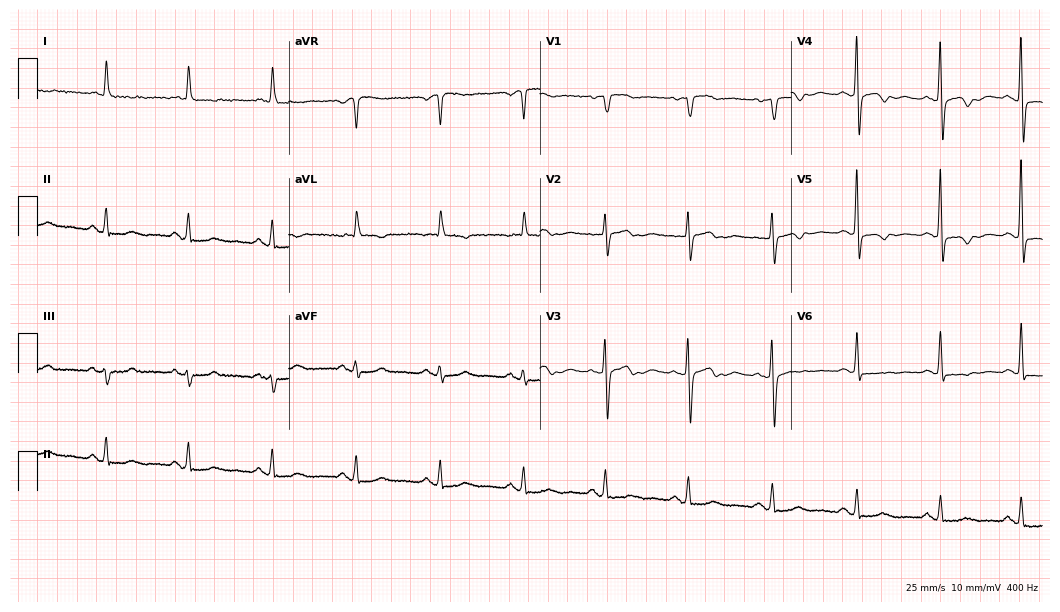
ECG (10.2-second recording at 400 Hz) — a female, 79 years old. Screened for six findings — first-degree AV block, right bundle branch block (RBBB), left bundle branch block (LBBB), sinus bradycardia, atrial fibrillation (AF), sinus tachycardia — none is recorded.